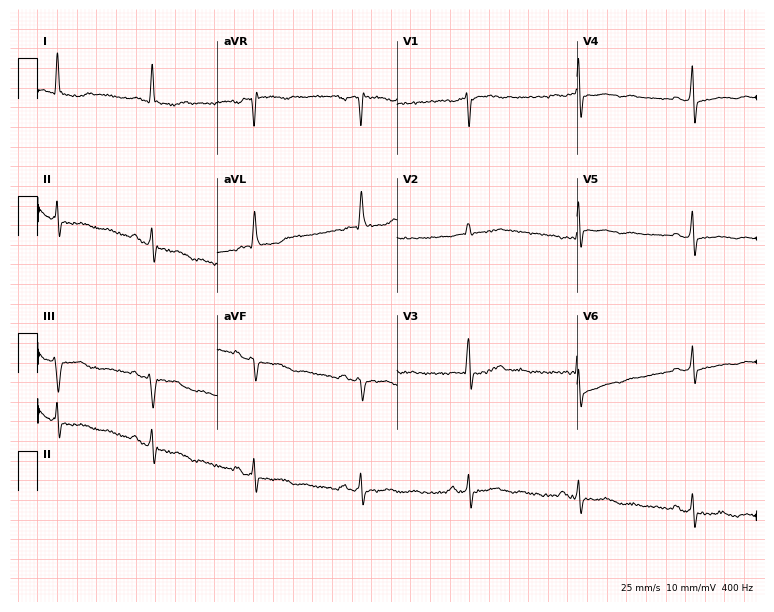
Resting 12-lead electrocardiogram. Patient: a 79-year-old female. None of these six findings is recorded: first-degree AV block, right bundle branch block, left bundle branch block, sinus bradycardia, atrial fibrillation, sinus tachycardia.